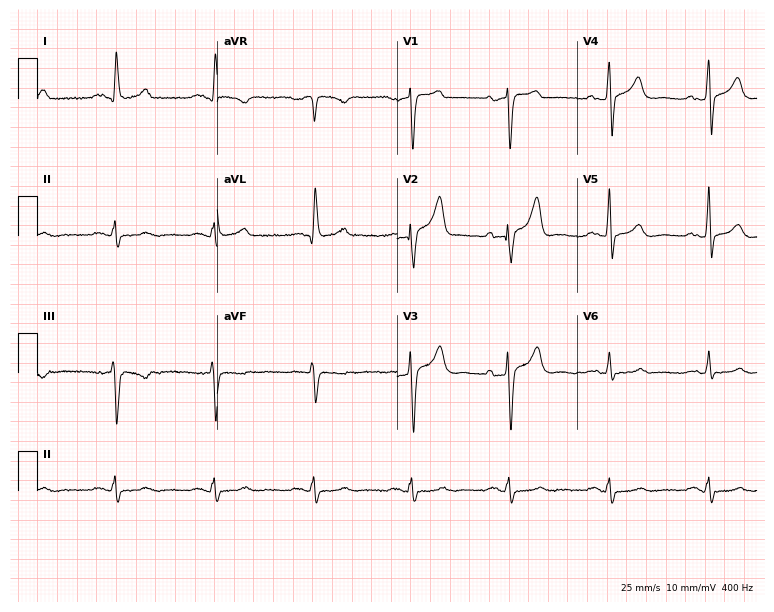
Electrocardiogram (7.3-second recording at 400 Hz), a man, 69 years old. Of the six screened findings (first-degree AV block, right bundle branch block, left bundle branch block, sinus bradycardia, atrial fibrillation, sinus tachycardia), none is recorded. Only these six findings were labelled.